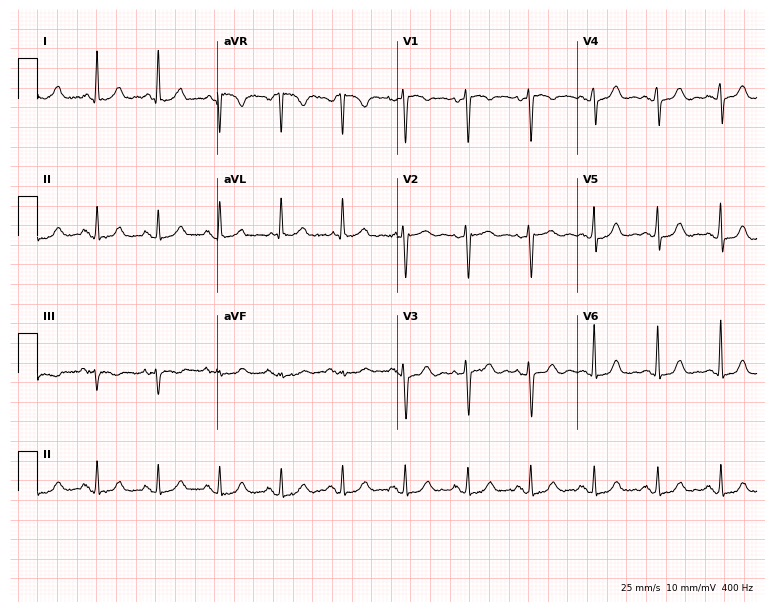
ECG — an 82-year-old female patient. Labelled as a normal ECG.